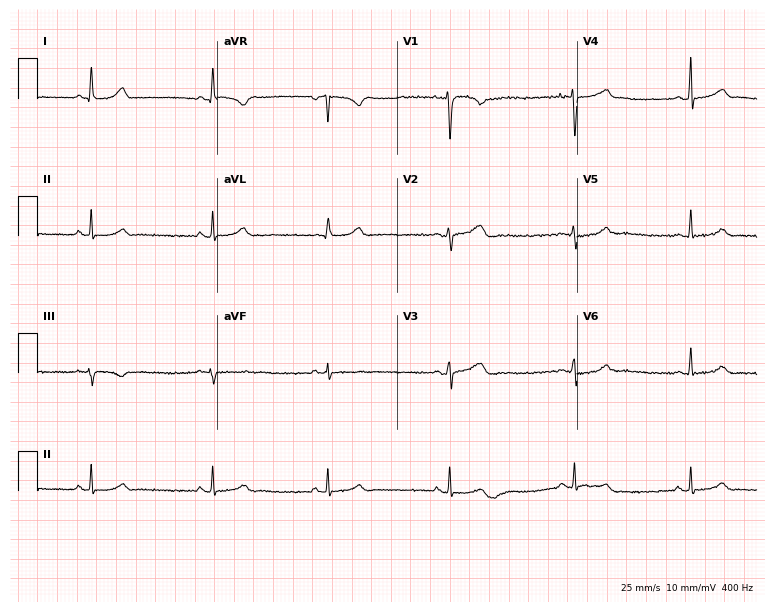
12-lead ECG from a female, 22 years old. Findings include sinus bradycardia (a sinus rate of 50 beats per minute or less).